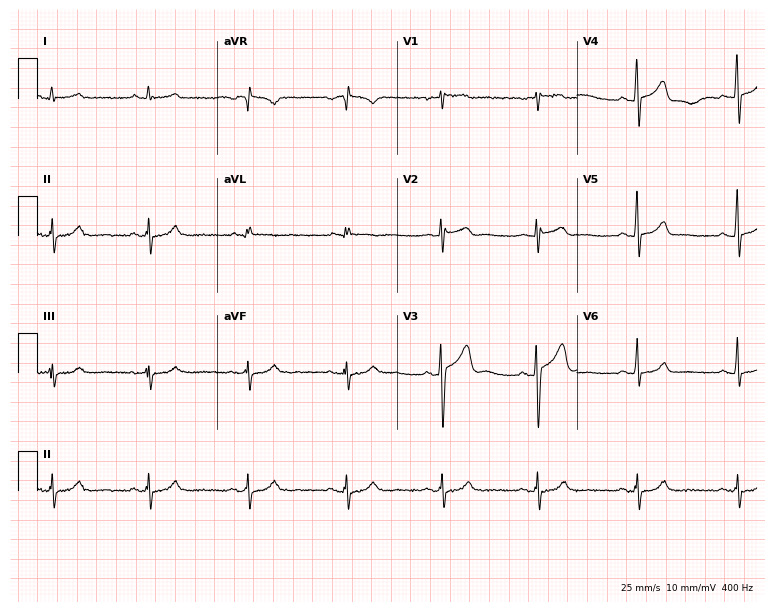
Standard 12-lead ECG recorded from a 46-year-old male patient (7.3-second recording at 400 Hz). Read as a normal ECG.